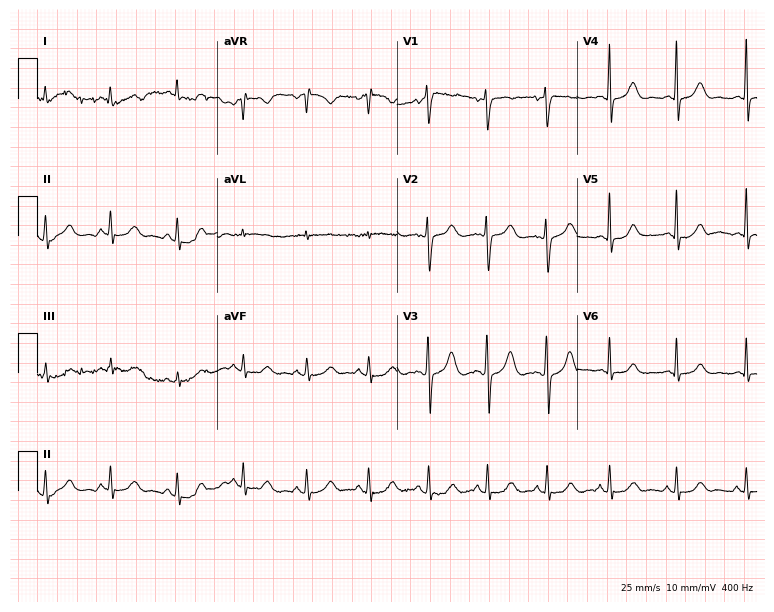
12-lead ECG (7.3-second recording at 400 Hz) from a male patient, 34 years old. Labelled as a normal ECG.